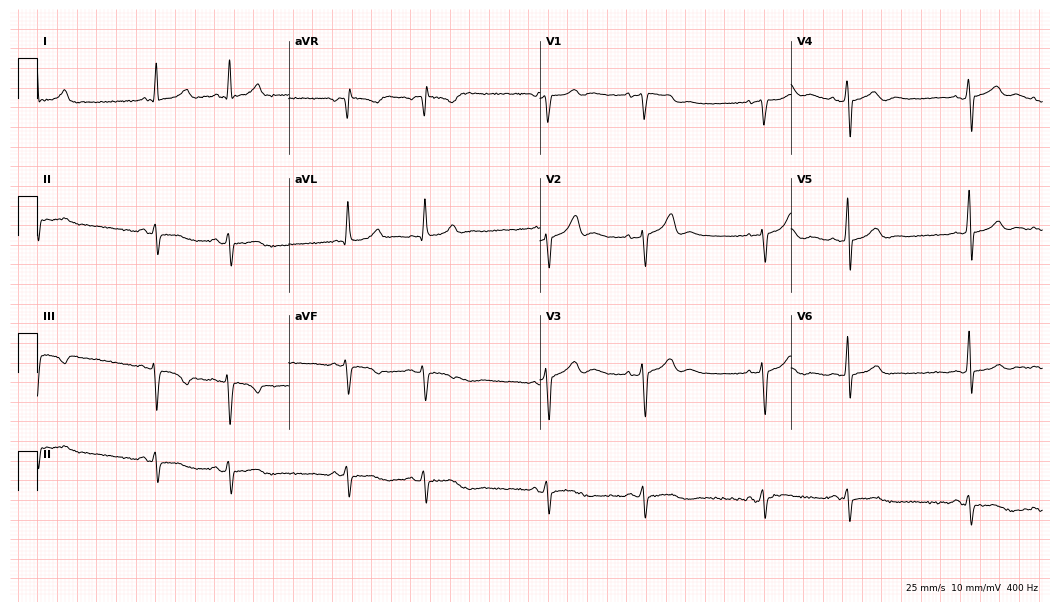
12-lead ECG from a man, 68 years old. Screened for six findings — first-degree AV block, right bundle branch block (RBBB), left bundle branch block (LBBB), sinus bradycardia, atrial fibrillation (AF), sinus tachycardia — none is recorded.